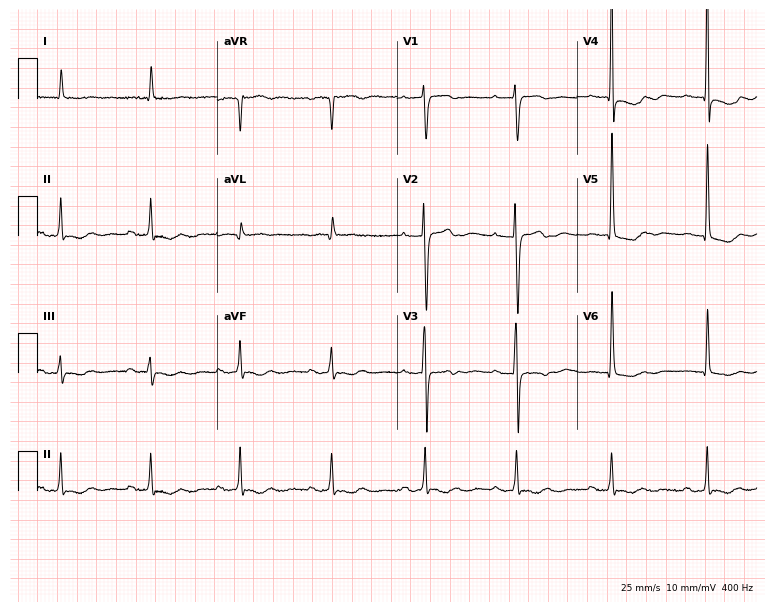
ECG — a 76-year-old female. Screened for six findings — first-degree AV block, right bundle branch block (RBBB), left bundle branch block (LBBB), sinus bradycardia, atrial fibrillation (AF), sinus tachycardia — none is recorded.